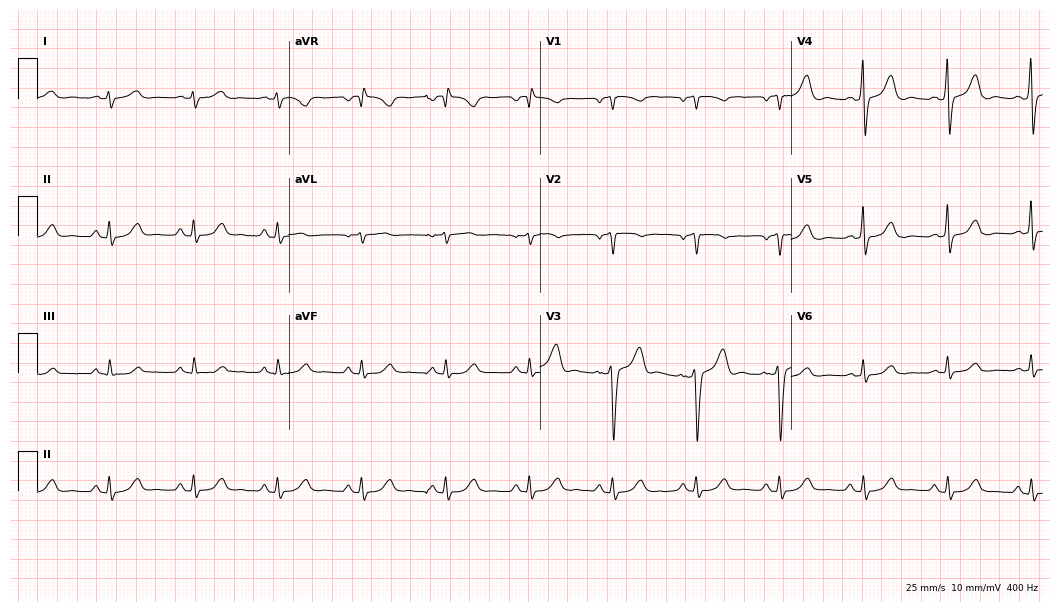
ECG — a male, 61 years old. Screened for six findings — first-degree AV block, right bundle branch block (RBBB), left bundle branch block (LBBB), sinus bradycardia, atrial fibrillation (AF), sinus tachycardia — none is recorded. Other findings, if any, are not listed.